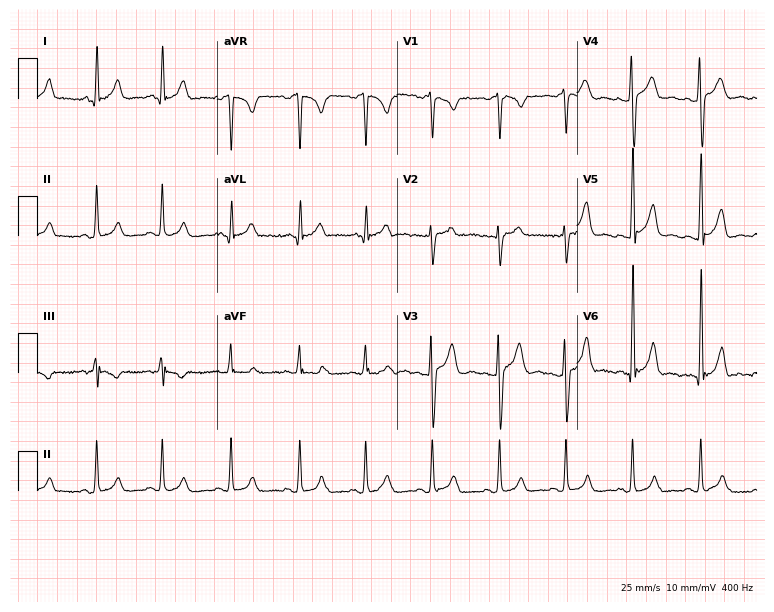
Resting 12-lead electrocardiogram (7.3-second recording at 400 Hz). Patient: a 26-year-old male. Read as a normal ECG.